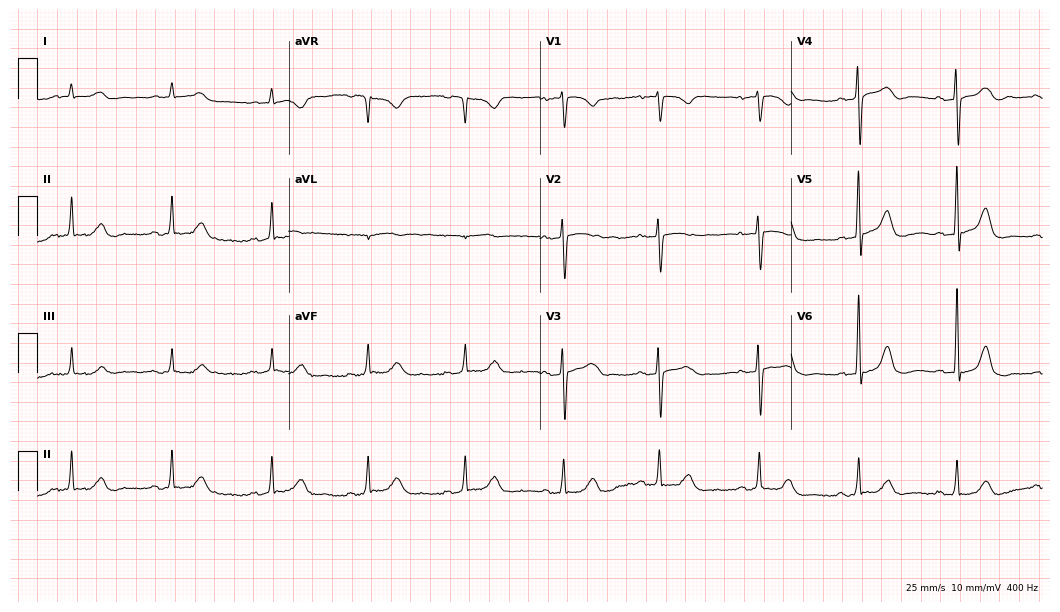
Standard 12-lead ECG recorded from a female, 75 years old (10.2-second recording at 400 Hz). Read as a normal ECG.